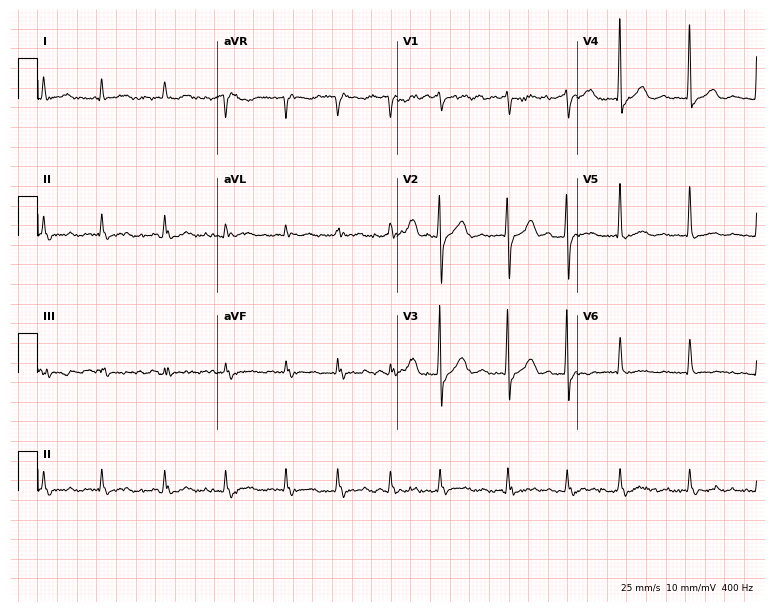
Resting 12-lead electrocardiogram (7.3-second recording at 400 Hz). Patient: a woman, 74 years old. The tracing shows atrial fibrillation.